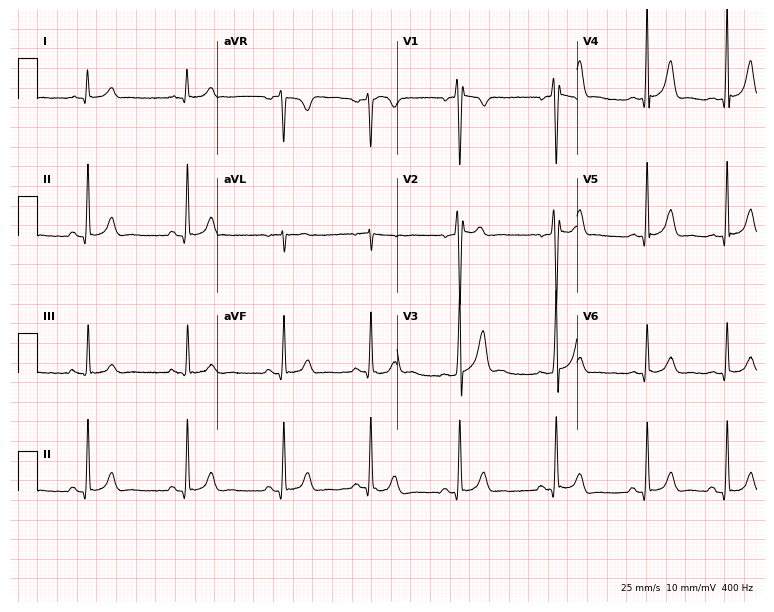
Standard 12-lead ECG recorded from a 37-year-old man (7.3-second recording at 400 Hz). Read as a normal ECG.